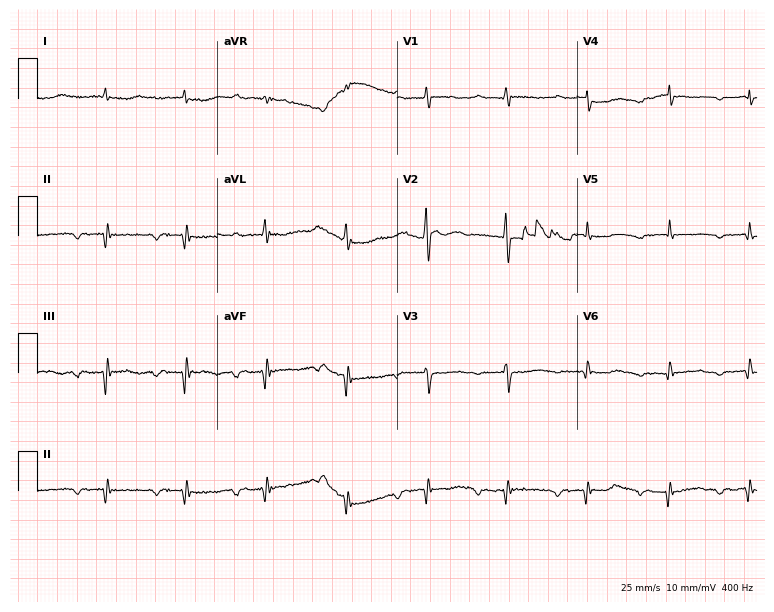
ECG (7.3-second recording at 400 Hz) — a male, 69 years old. Findings include first-degree AV block.